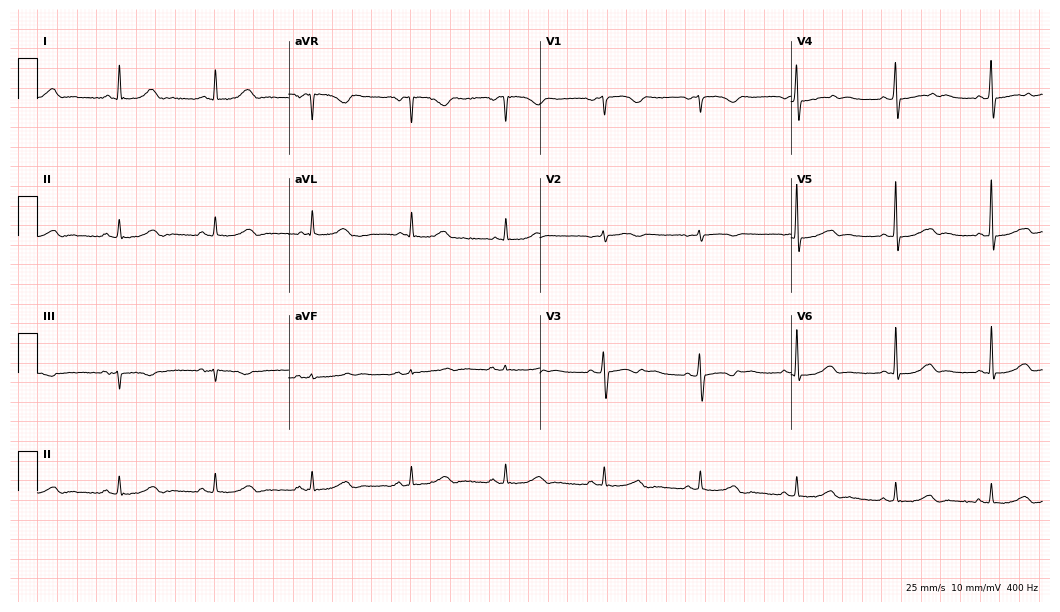
12-lead ECG (10.2-second recording at 400 Hz) from a 54-year-old woman. Screened for six findings — first-degree AV block, right bundle branch block (RBBB), left bundle branch block (LBBB), sinus bradycardia, atrial fibrillation (AF), sinus tachycardia — none is recorded.